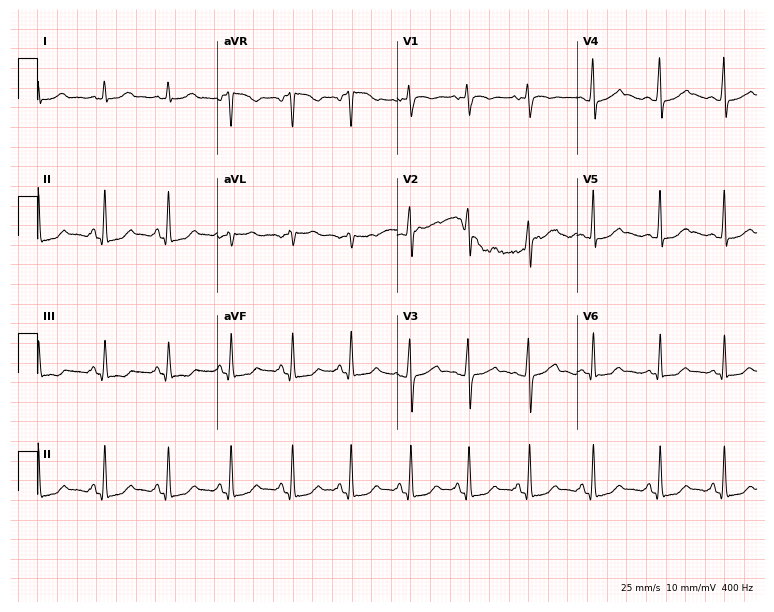
Resting 12-lead electrocardiogram. Patient: a 17-year-old female. Read as a normal ECG.